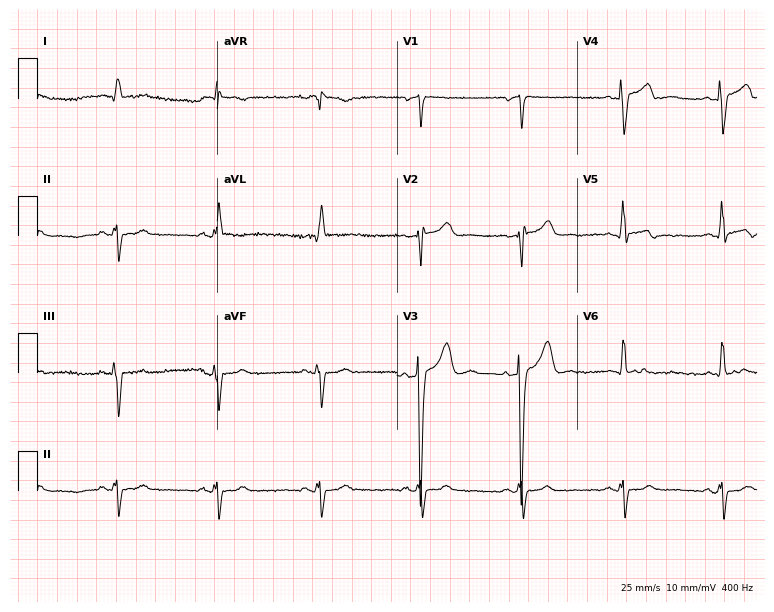
ECG — a 61-year-old male. Screened for six findings — first-degree AV block, right bundle branch block (RBBB), left bundle branch block (LBBB), sinus bradycardia, atrial fibrillation (AF), sinus tachycardia — none is recorded. Other findings, if any, are not listed.